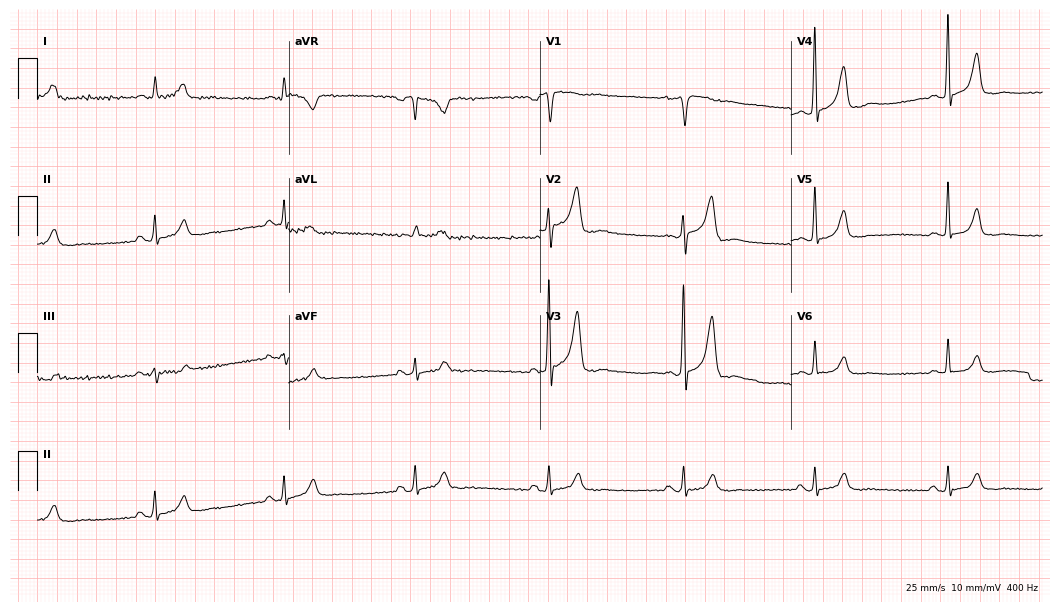
12-lead ECG from a 59-year-old male. Findings include sinus bradycardia (a sinus rate of 50 beats per minute or less).